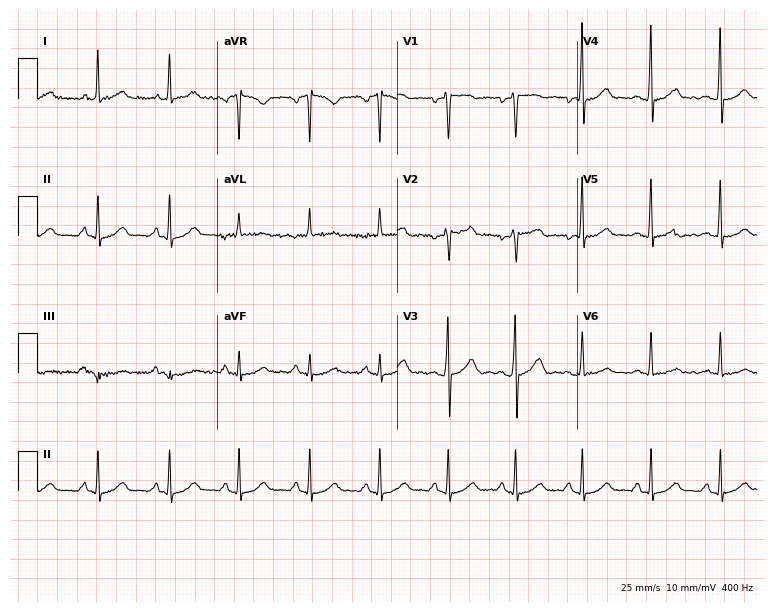
Resting 12-lead electrocardiogram. Patient: a 45-year-old female. Read as a normal ECG.